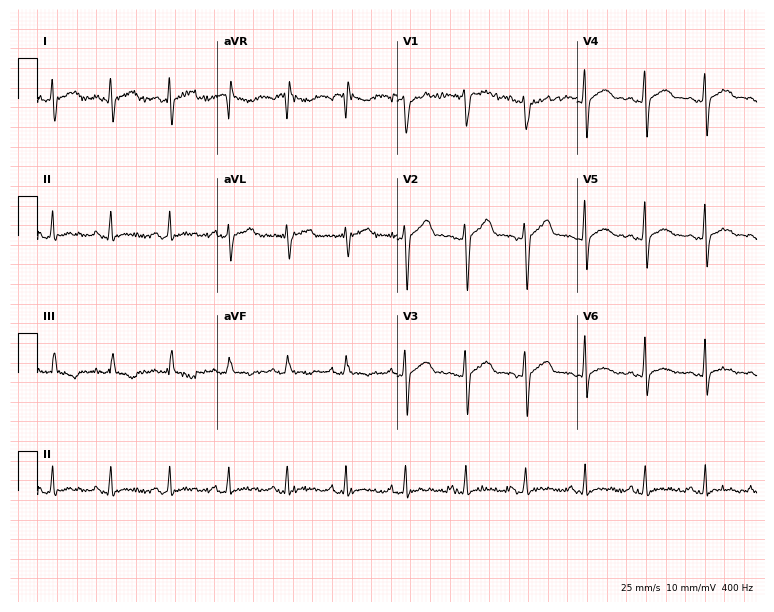
Electrocardiogram, a male patient, 33 years old. Of the six screened findings (first-degree AV block, right bundle branch block (RBBB), left bundle branch block (LBBB), sinus bradycardia, atrial fibrillation (AF), sinus tachycardia), none is recorded.